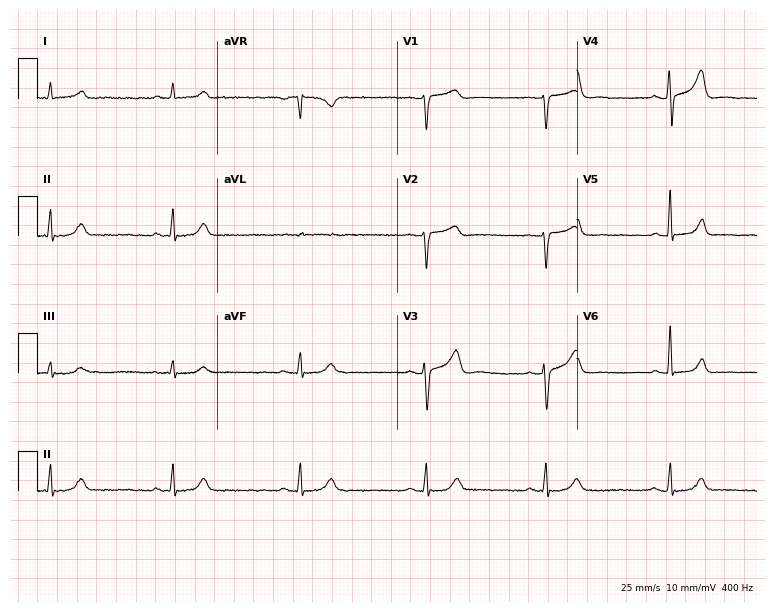
Resting 12-lead electrocardiogram. Patient: a 47-year-old male. The tracing shows sinus bradycardia (a sinus rate of 50 beats per minute or less).